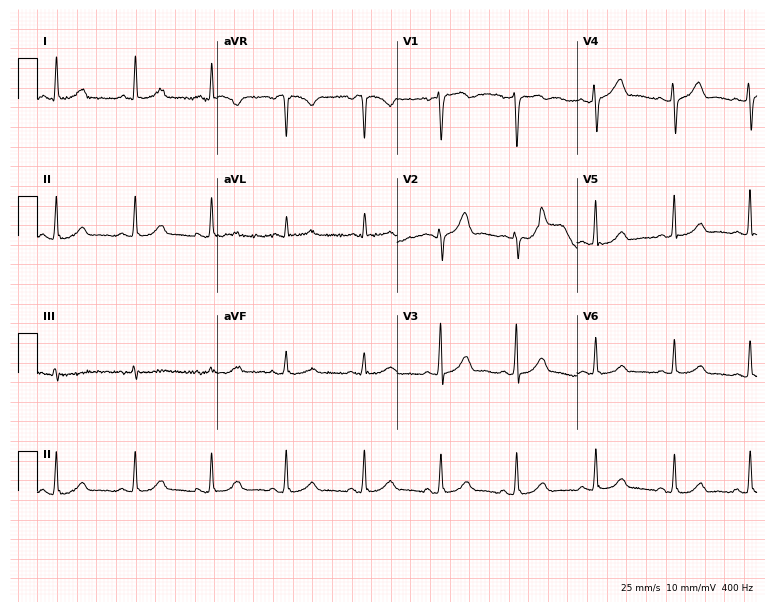
12-lead ECG from a woman, 51 years old. Labelled as a normal ECG.